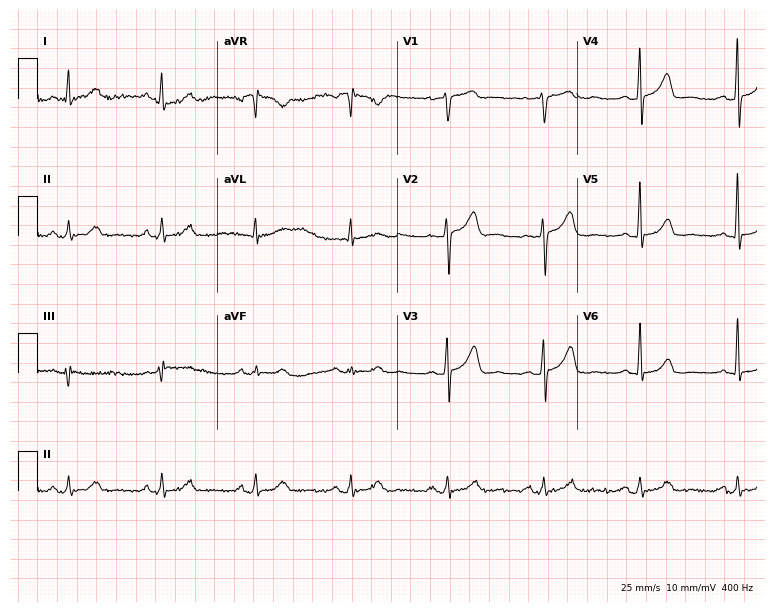
Resting 12-lead electrocardiogram (7.3-second recording at 400 Hz). Patient: a man, 62 years old. None of these six findings is recorded: first-degree AV block, right bundle branch block, left bundle branch block, sinus bradycardia, atrial fibrillation, sinus tachycardia.